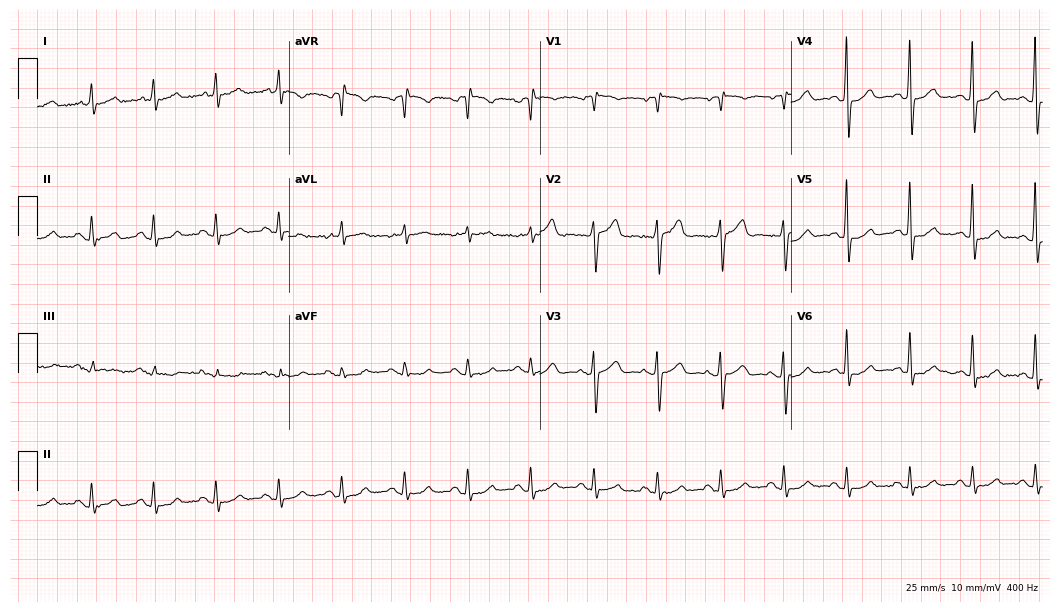
ECG — a man, 67 years old. Labelled as a normal ECG.